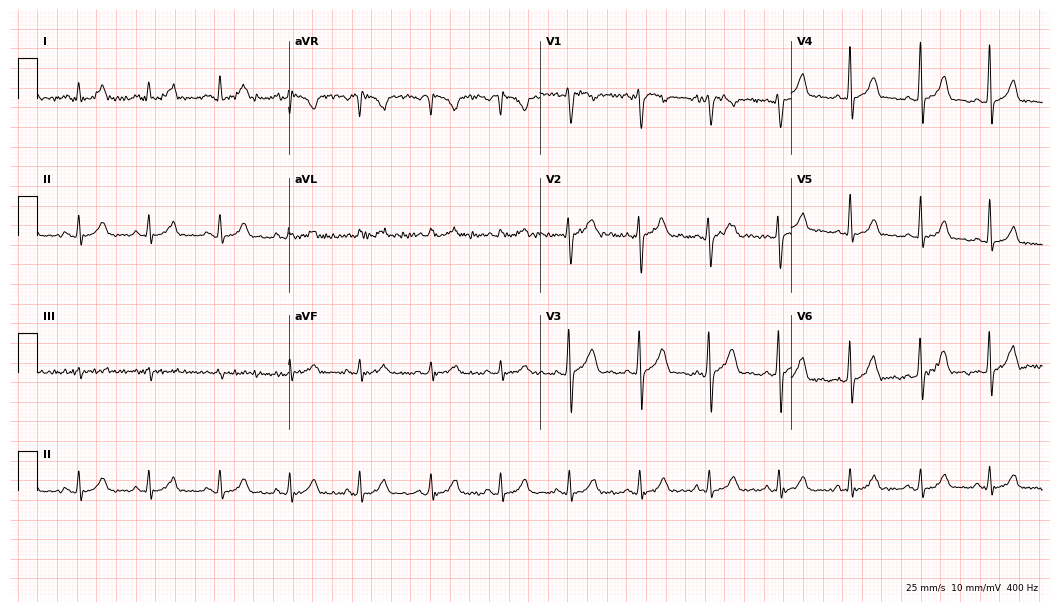
ECG (10.2-second recording at 400 Hz) — a man, 30 years old. Labelled as a normal ECG.